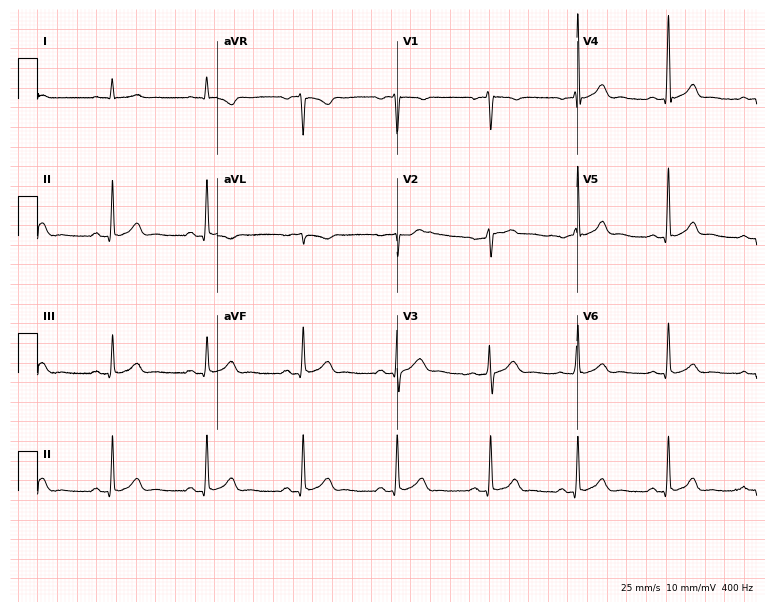
12-lead ECG from a 59-year-old male. Labelled as a normal ECG.